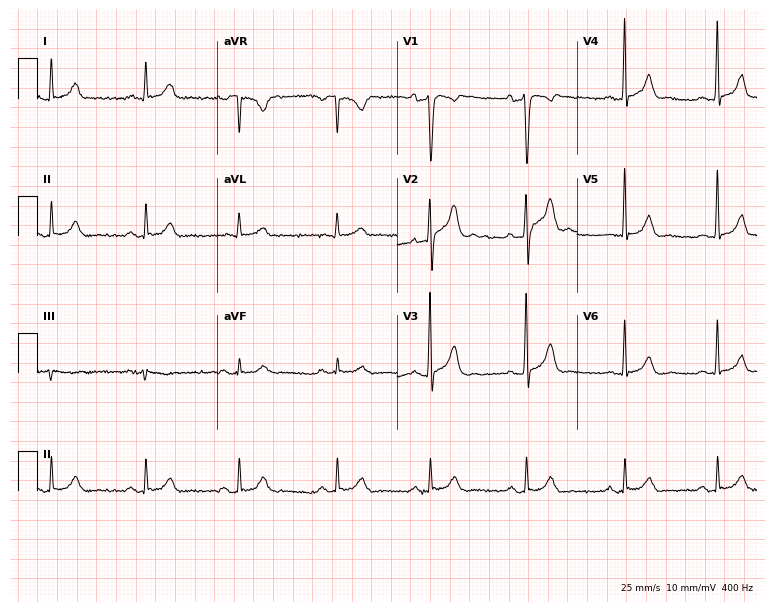
Standard 12-lead ECG recorded from a 45-year-old male patient (7.3-second recording at 400 Hz). None of these six findings is recorded: first-degree AV block, right bundle branch block (RBBB), left bundle branch block (LBBB), sinus bradycardia, atrial fibrillation (AF), sinus tachycardia. Other findings, if any, are not listed.